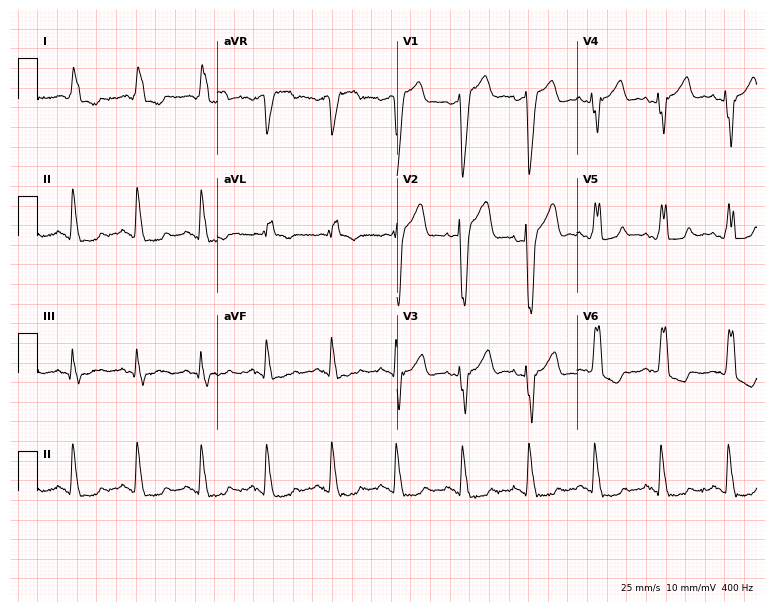
Electrocardiogram, a 73-year-old man. Interpretation includes left bundle branch block.